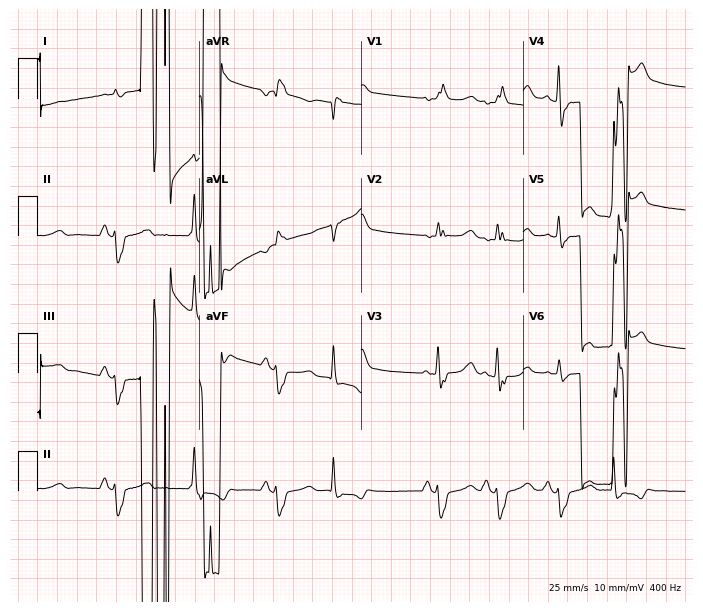
12-lead ECG from a woman, 74 years old. No first-degree AV block, right bundle branch block, left bundle branch block, sinus bradycardia, atrial fibrillation or sinus tachycardia recorded for this tracing. Findings outside these six are not listed.